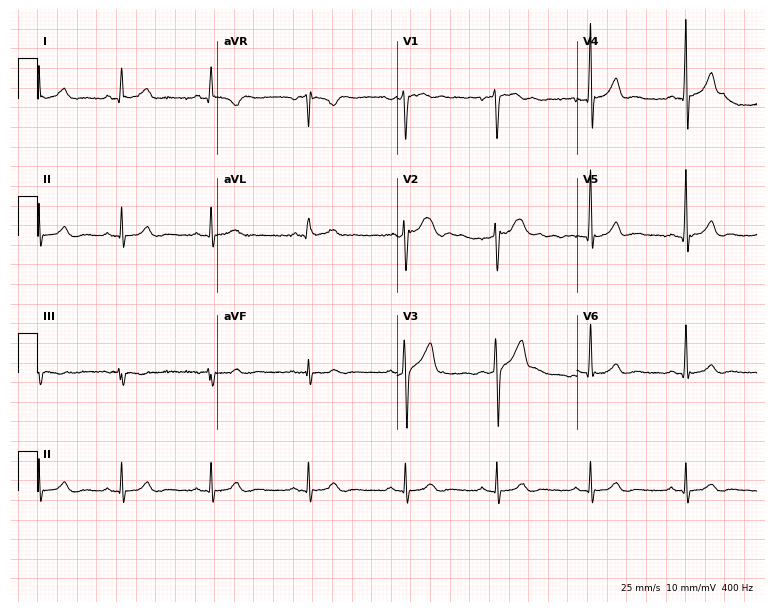
12-lead ECG from a male patient, 34 years old. Recorded interpretation: within normal limits.